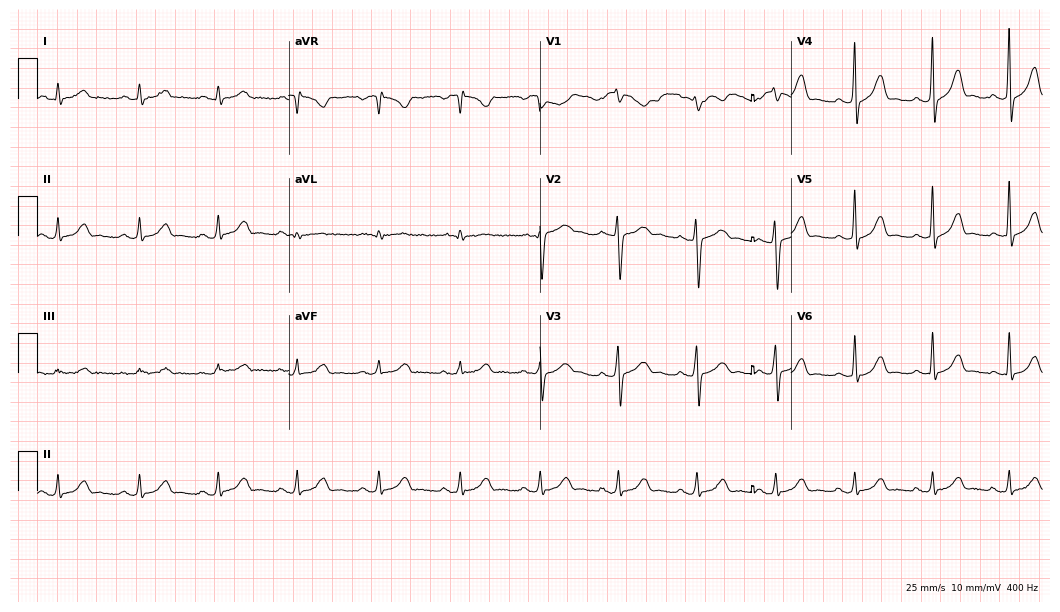
Electrocardiogram (10.2-second recording at 400 Hz), a 41-year-old female patient. Overall reading on record: normal ECG.